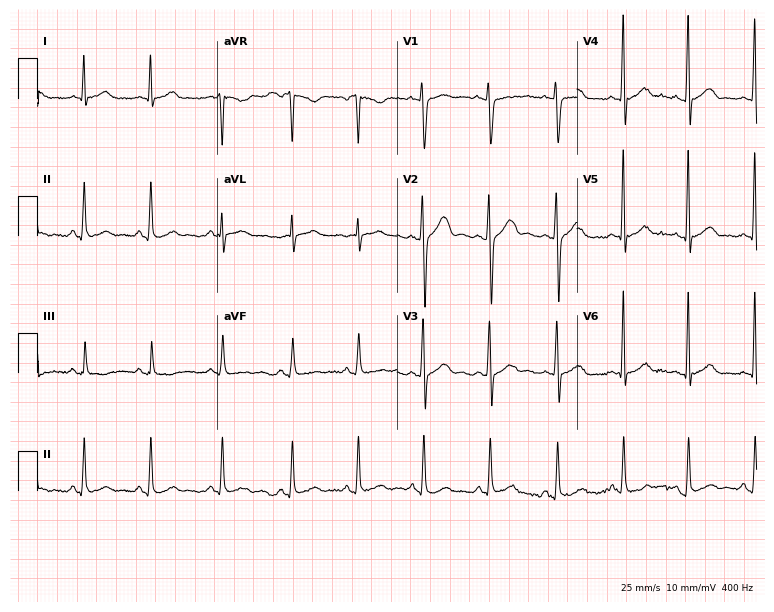
Standard 12-lead ECG recorded from a 24-year-old male. Read as a normal ECG.